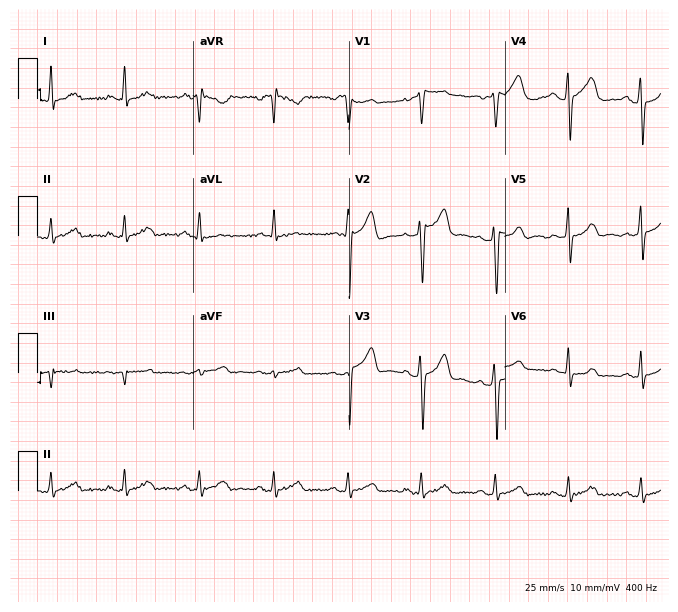
12-lead ECG from a male, 46 years old (6.4-second recording at 400 Hz). Recorded interpretation: within normal limits.